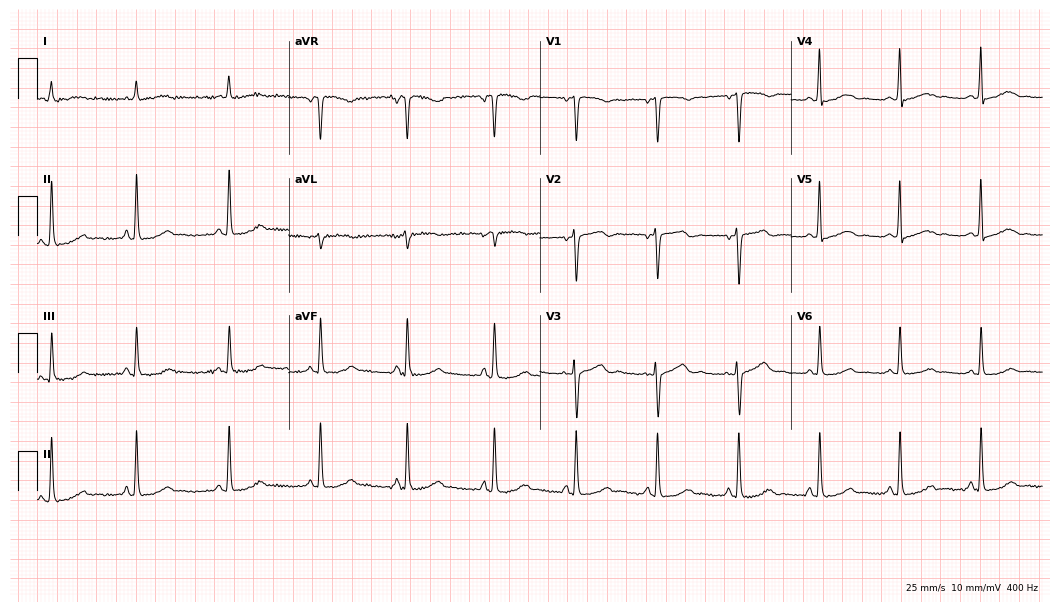
Electrocardiogram (10.2-second recording at 400 Hz), a 34-year-old female. Overall reading on record: normal ECG.